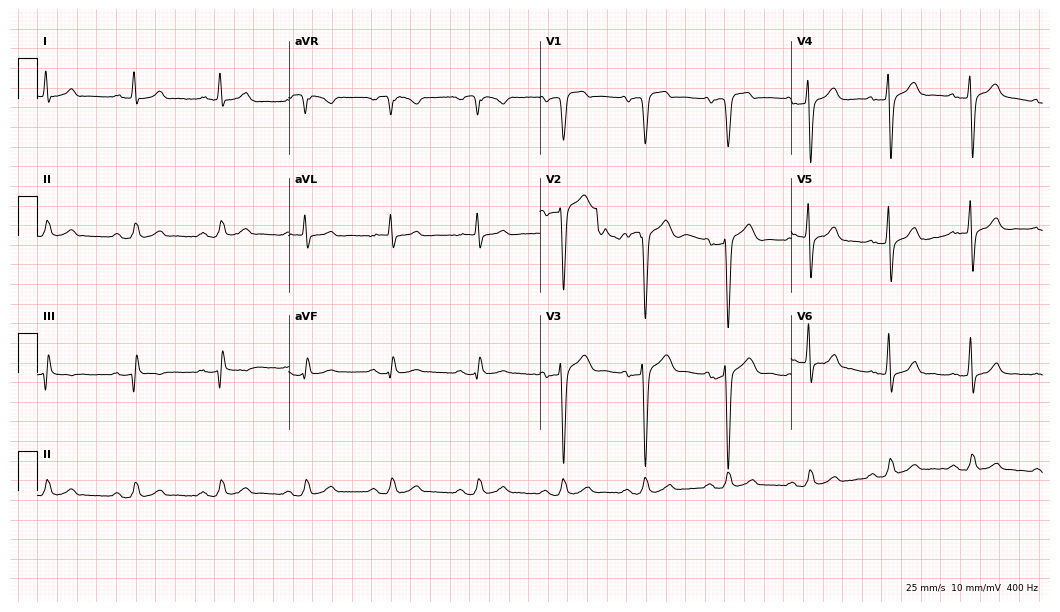
Electrocardiogram, a 59-year-old male patient. Overall reading on record: normal ECG.